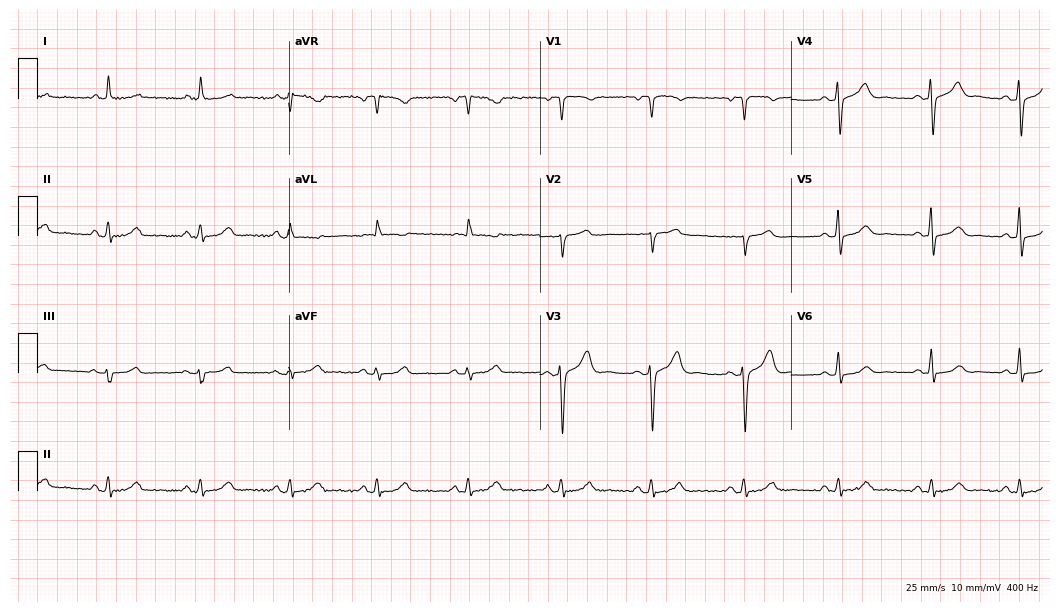
12-lead ECG (10.2-second recording at 400 Hz) from a female, 57 years old. Labelled as a normal ECG.